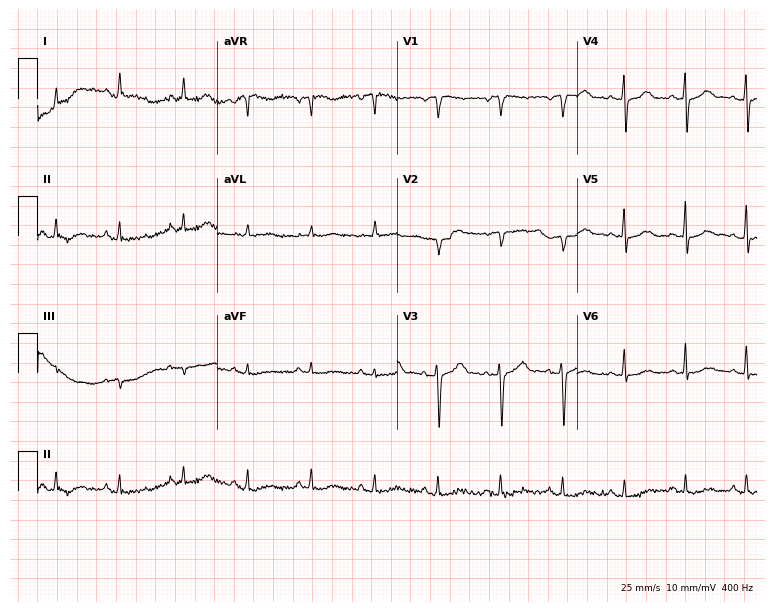
12-lead ECG from a 66-year-old female. No first-degree AV block, right bundle branch block, left bundle branch block, sinus bradycardia, atrial fibrillation or sinus tachycardia recorded for this tracing. Findings outside these six are not listed.